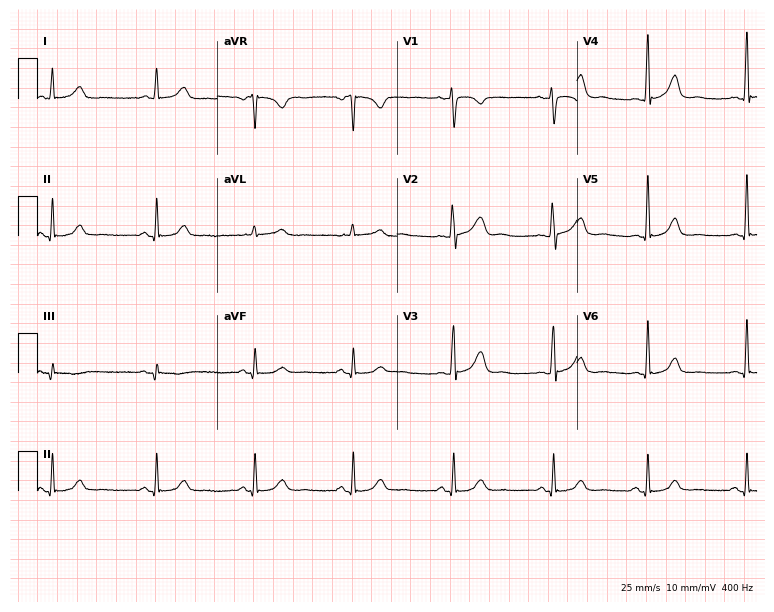
12-lead ECG from a 39-year-old female patient (7.3-second recording at 400 Hz). No first-degree AV block, right bundle branch block, left bundle branch block, sinus bradycardia, atrial fibrillation or sinus tachycardia recorded for this tracing.